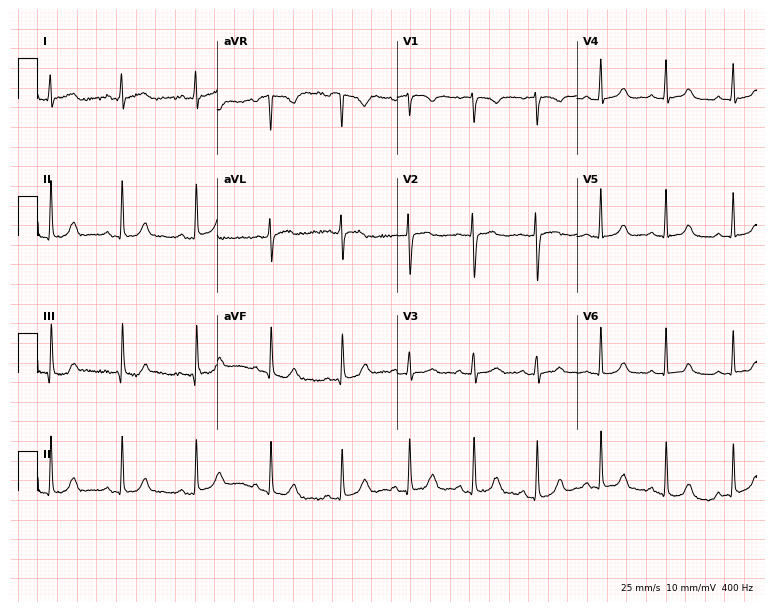
Electrocardiogram, a female patient, 52 years old. Overall reading on record: normal ECG.